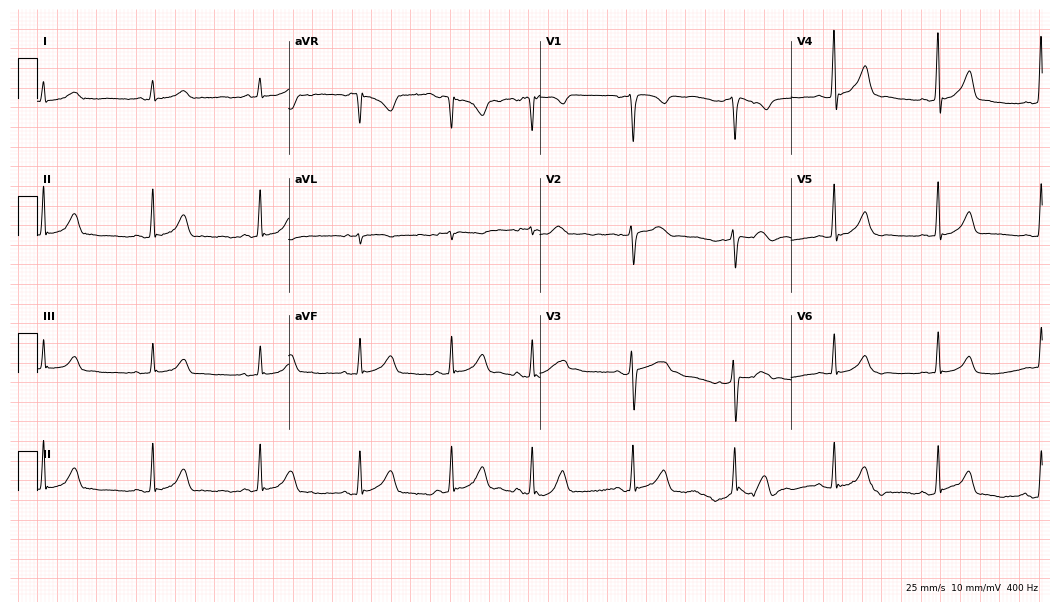
12-lead ECG from a male patient, 25 years old (10.2-second recording at 400 Hz). Recorded interpretation: within normal limits.